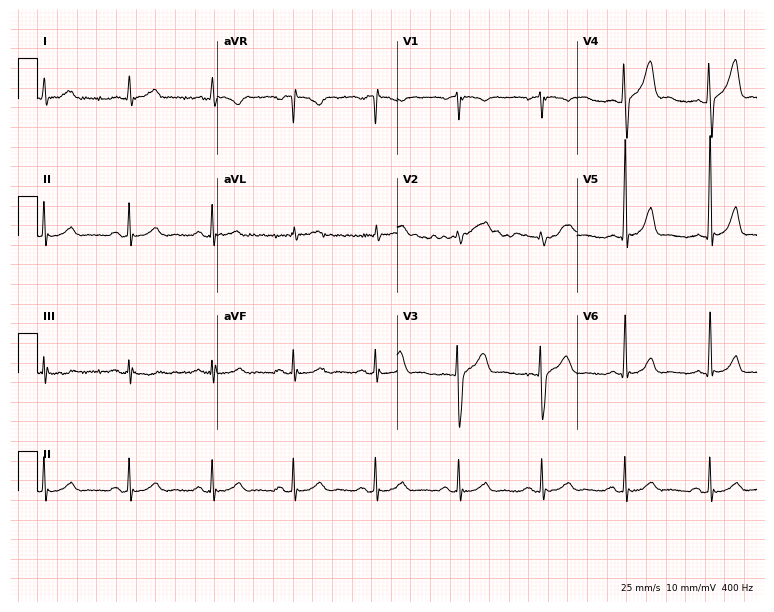
ECG (7.3-second recording at 400 Hz) — a male patient, 44 years old. Labelled as a normal ECG.